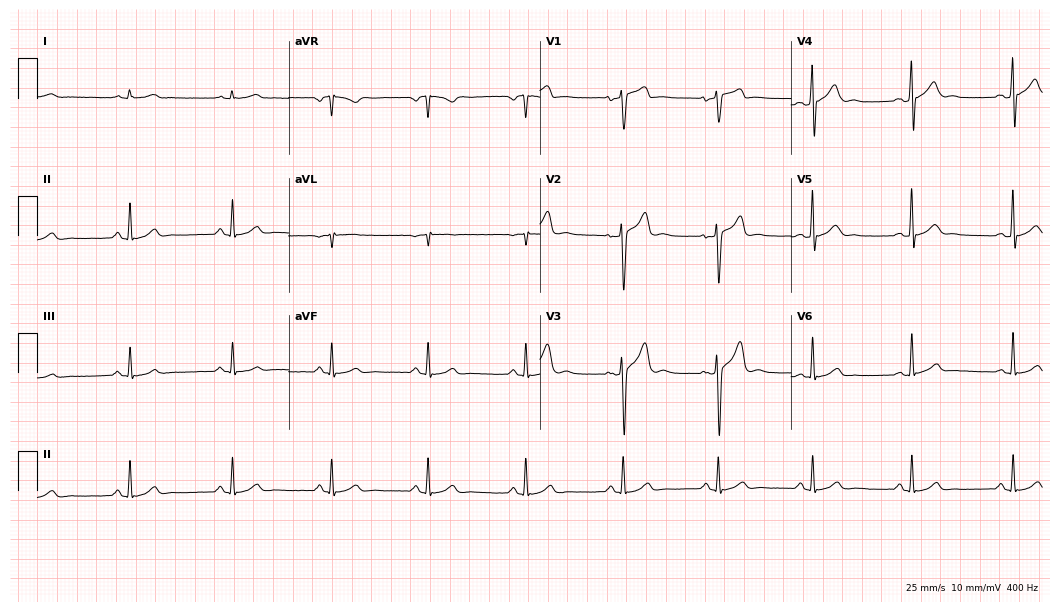
12-lead ECG (10.2-second recording at 400 Hz) from a 36-year-old male patient. Labelled as a normal ECG.